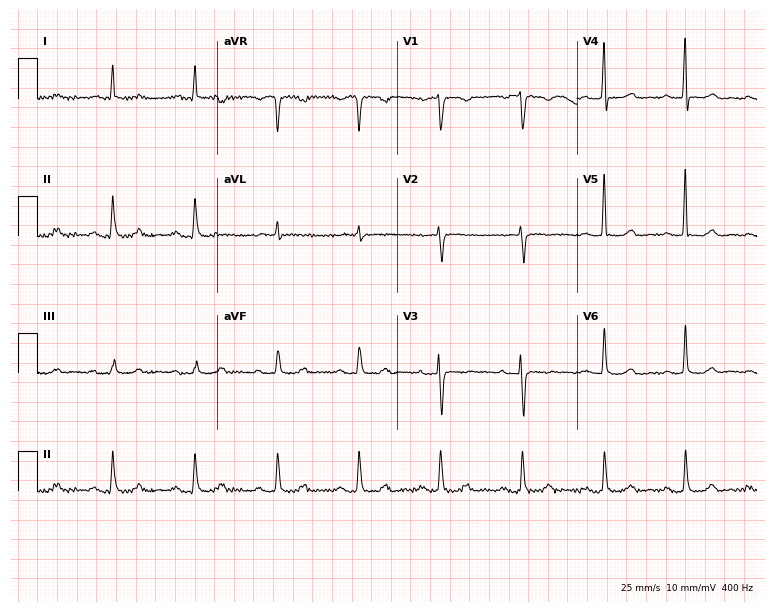
Electrocardiogram (7.3-second recording at 400 Hz), an 80-year-old female patient. Overall reading on record: normal ECG.